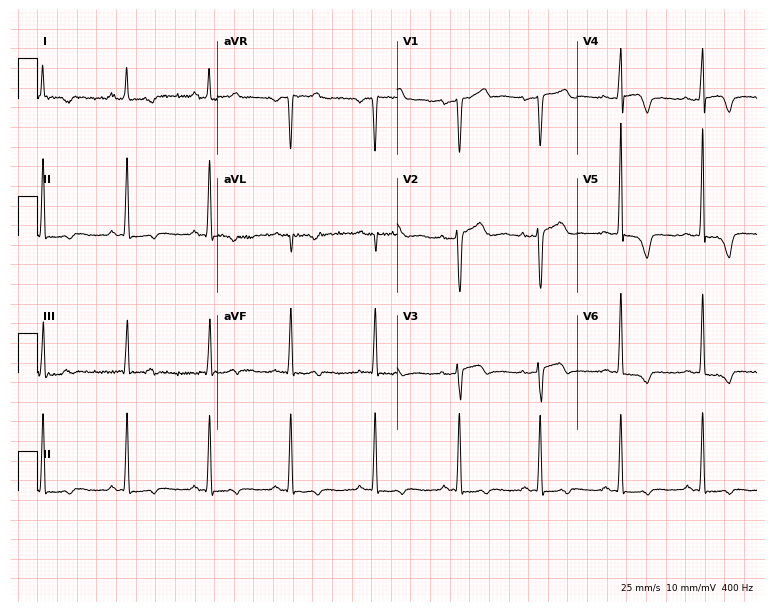
Electrocardiogram (7.3-second recording at 400 Hz), a 35-year-old female. Of the six screened findings (first-degree AV block, right bundle branch block (RBBB), left bundle branch block (LBBB), sinus bradycardia, atrial fibrillation (AF), sinus tachycardia), none is recorded. Only these six findings were labelled.